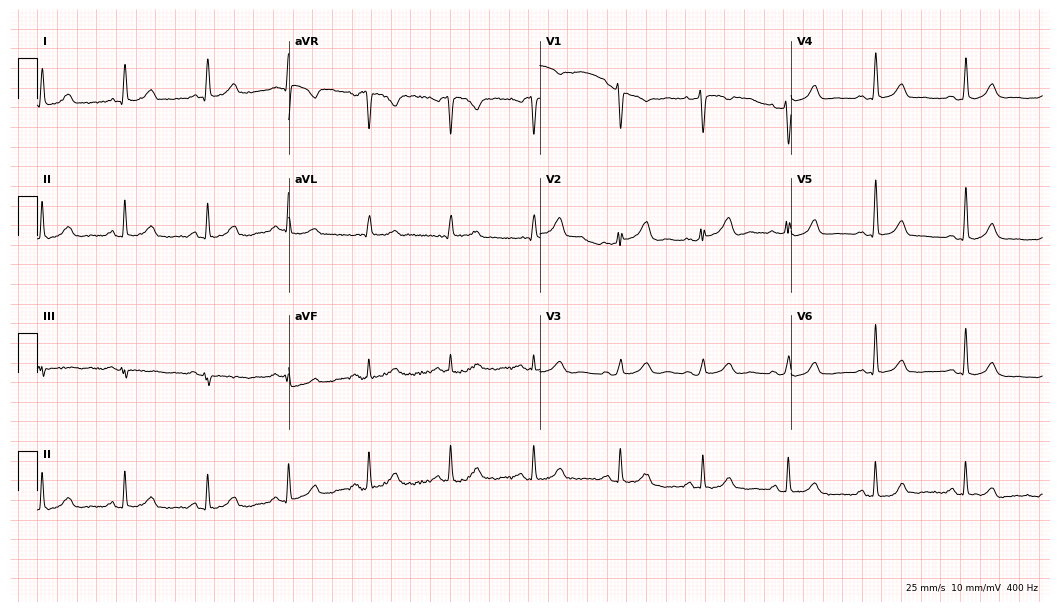
Standard 12-lead ECG recorded from a 49-year-old female patient (10.2-second recording at 400 Hz). Read as a normal ECG.